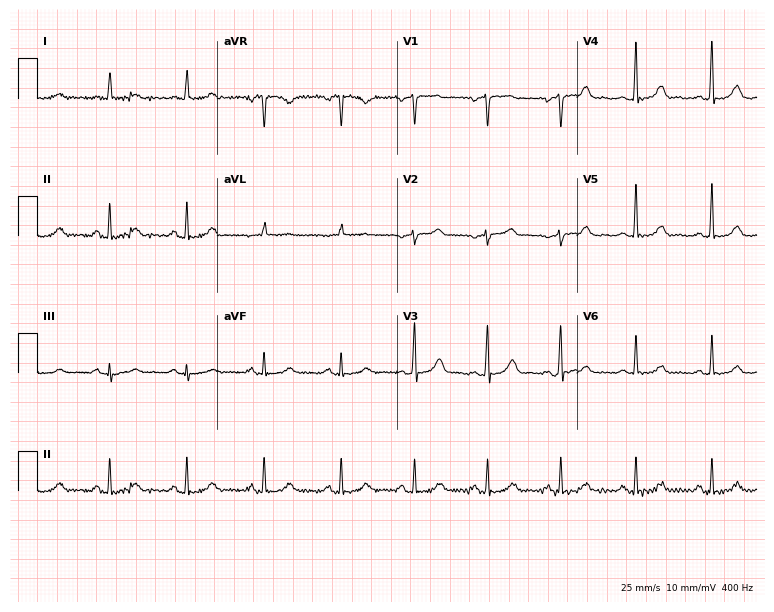
ECG (7.3-second recording at 400 Hz) — a 60-year-old male patient. Labelled as a normal ECG.